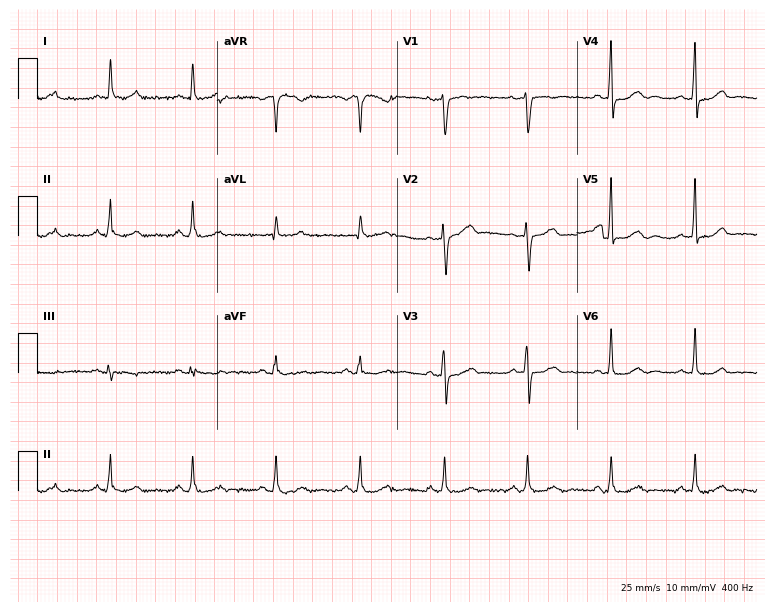
12-lead ECG from a woman, 59 years old (7.3-second recording at 400 Hz). No first-degree AV block, right bundle branch block (RBBB), left bundle branch block (LBBB), sinus bradycardia, atrial fibrillation (AF) or sinus tachycardia recorded for this tracing.